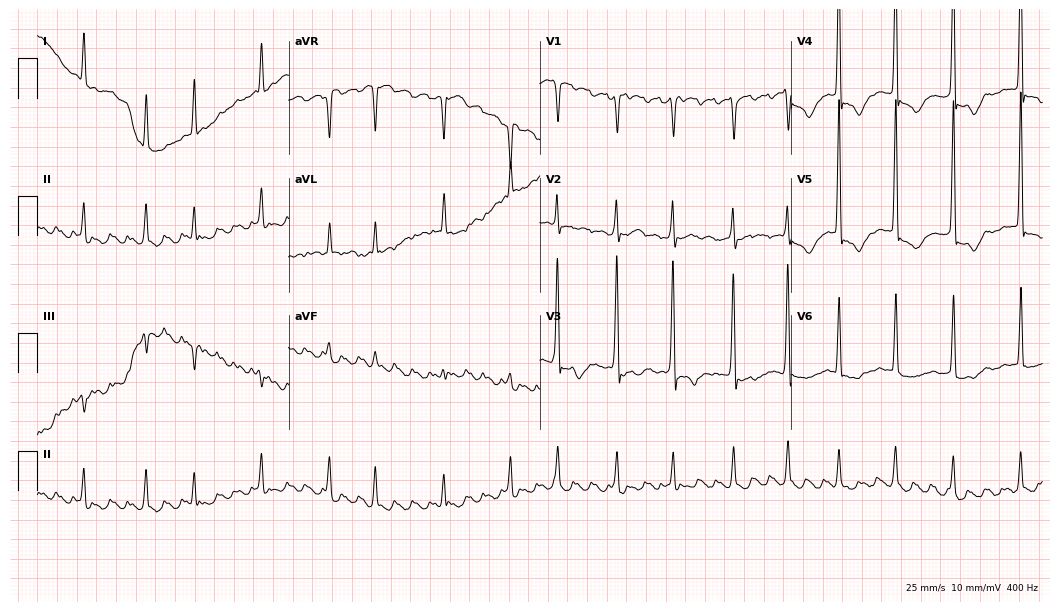
Resting 12-lead electrocardiogram. Patient: a male, 79 years old. None of these six findings is recorded: first-degree AV block, right bundle branch block, left bundle branch block, sinus bradycardia, atrial fibrillation, sinus tachycardia.